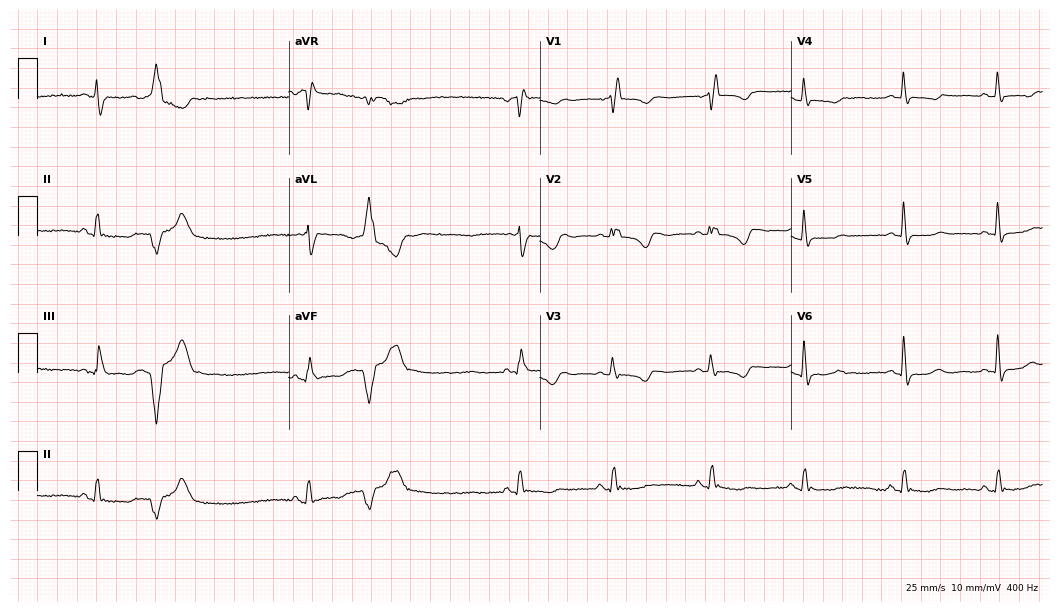
Standard 12-lead ECG recorded from a 66-year-old female patient (10.2-second recording at 400 Hz). The tracing shows right bundle branch block (RBBB).